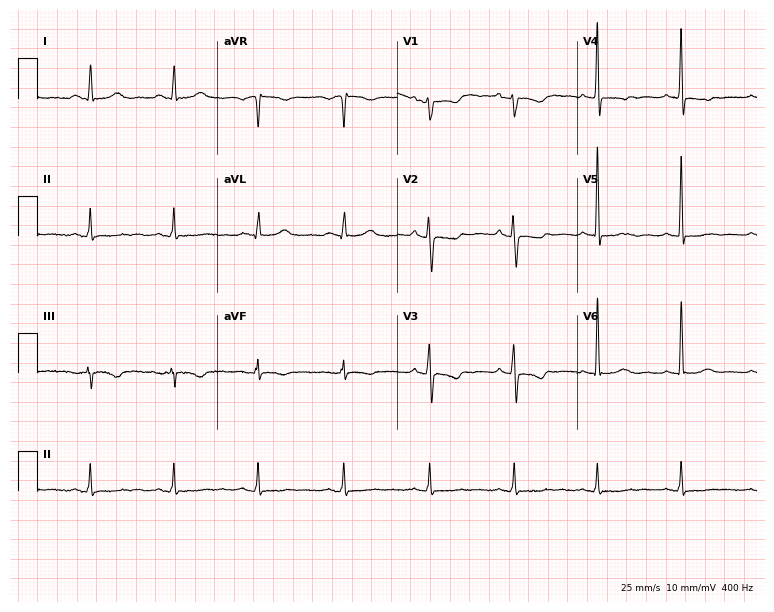
12-lead ECG (7.3-second recording at 400 Hz) from a woman, 58 years old. Screened for six findings — first-degree AV block, right bundle branch block (RBBB), left bundle branch block (LBBB), sinus bradycardia, atrial fibrillation (AF), sinus tachycardia — none is recorded.